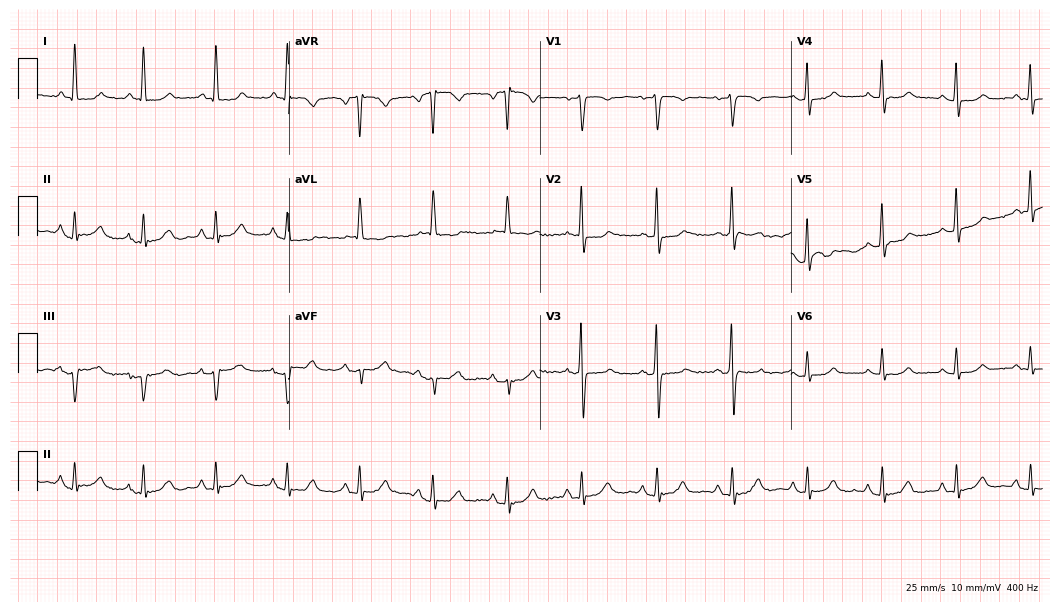
ECG (10.2-second recording at 400 Hz) — a female patient, 49 years old. Labelled as a normal ECG.